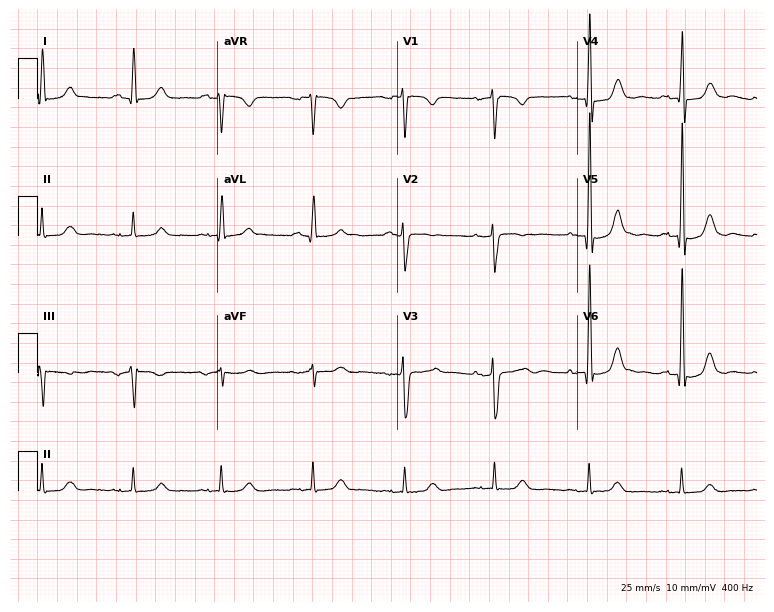
12-lead ECG from a 67-year-old female patient. Labelled as a normal ECG.